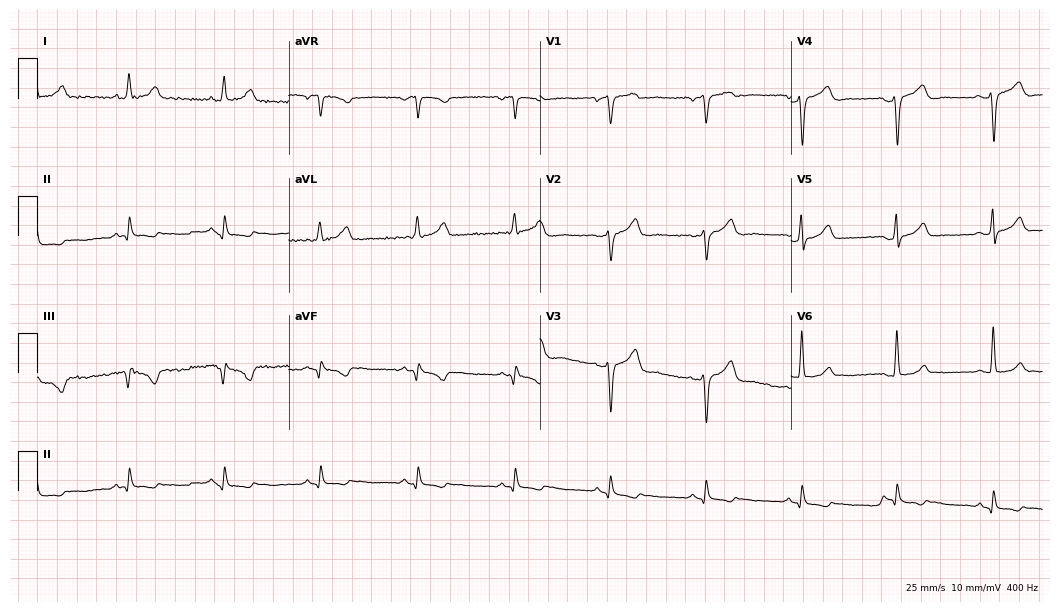
Resting 12-lead electrocardiogram. Patient: a man, 44 years old. None of these six findings is recorded: first-degree AV block, right bundle branch block (RBBB), left bundle branch block (LBBB), sinus bradycardia, atrial fibrillation (AF), sinus tachycardia. Findings outside these six are not listed.